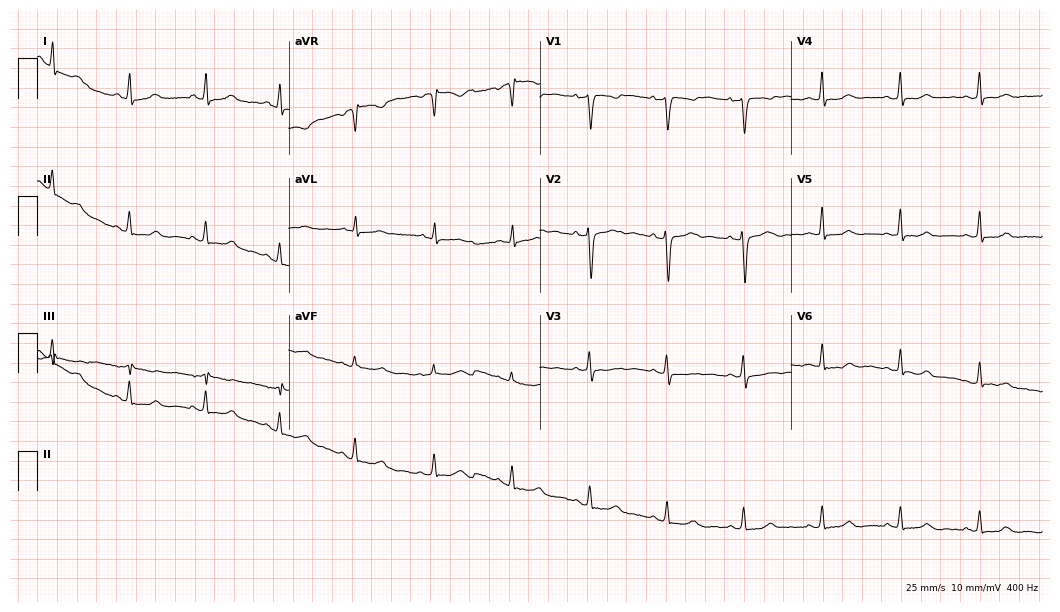
Standard 12-lead ECG recorded from a 33-year-old female. Read as a normal ECG.